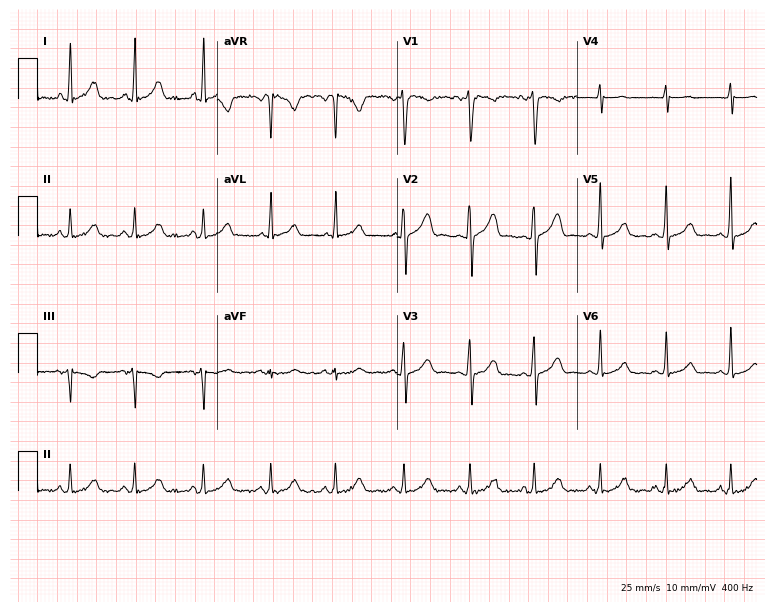
Resting 12-lead electrocardiogram. Patient: a 43-year-old female. Read as a normal ECG.